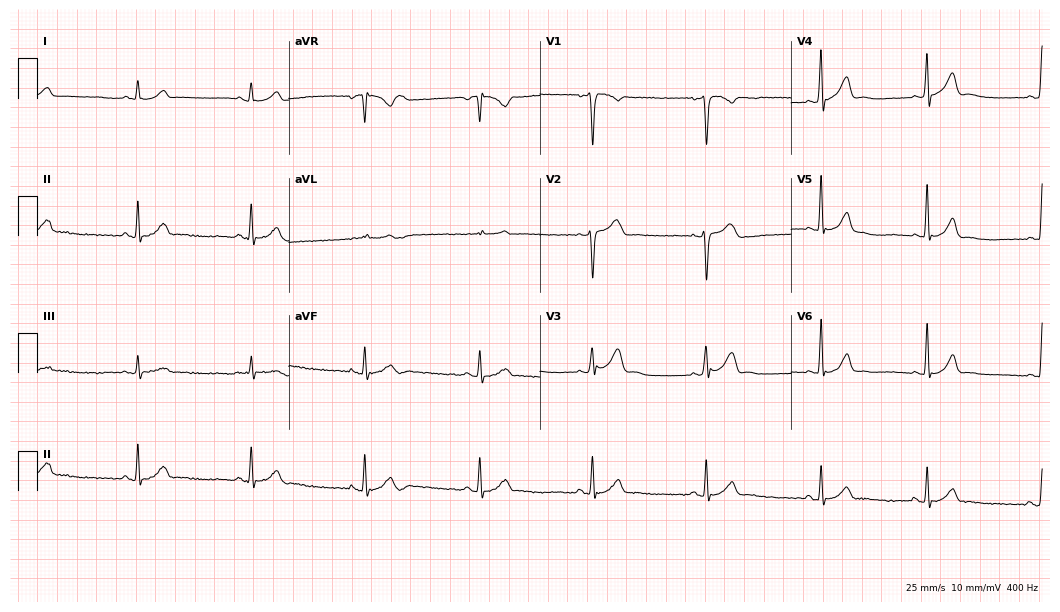
ECG (10.2-second recording at 400 Hz) — a 40-year-old male. Labelled as a normal ECG.